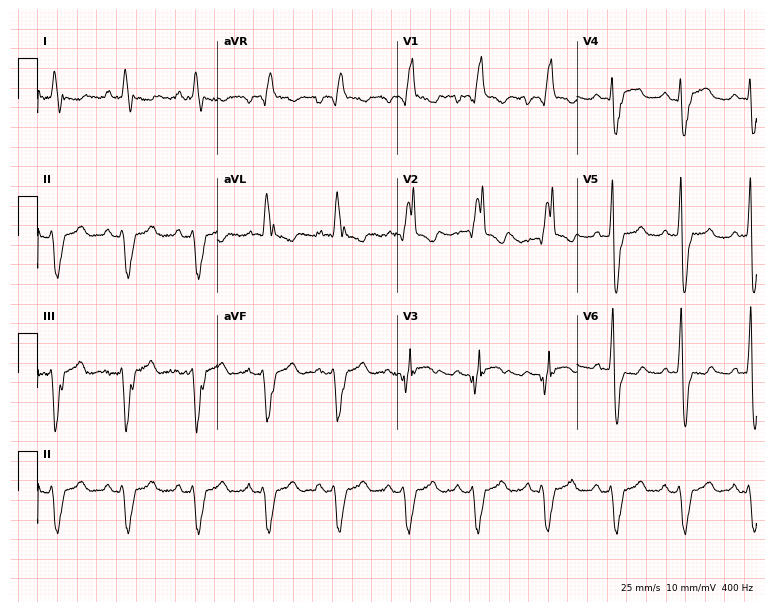
Electrocardiogram (7.3-second recording at 400 Hz), a male patient, 42 years old. Interpretation includes right bundle branch block (RBBB).